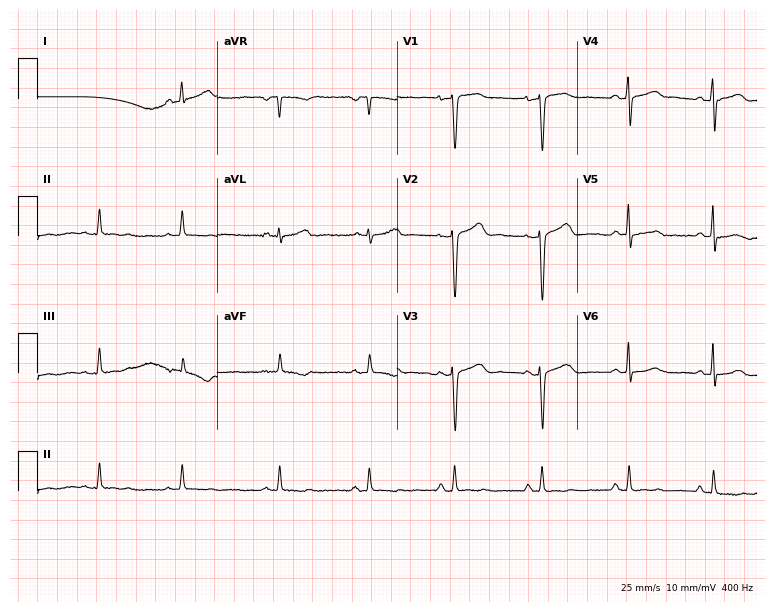
12-lead ECG from a 41-year-old female patient. Screened for six findings — first-degree AV block, right bundle branch block (RBBB), left bundle branch block (LBBB), sinus bradycardia, atrial fibrillation (AF), sinus tachycardia — none is recorded. Only these six findings were labelled.